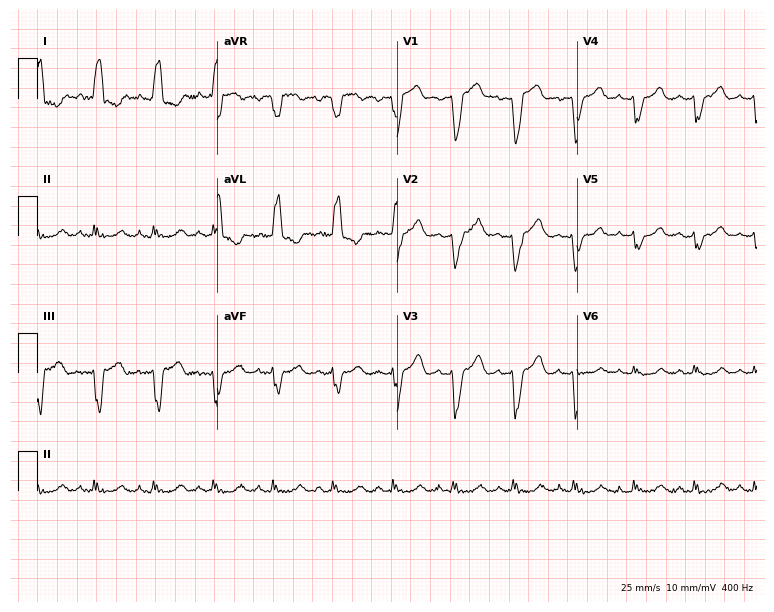
Electrocardiogram (7.3-second recording at 400 Hz), a 65-year-old female patient. Interpretation includes left bundle branch block.